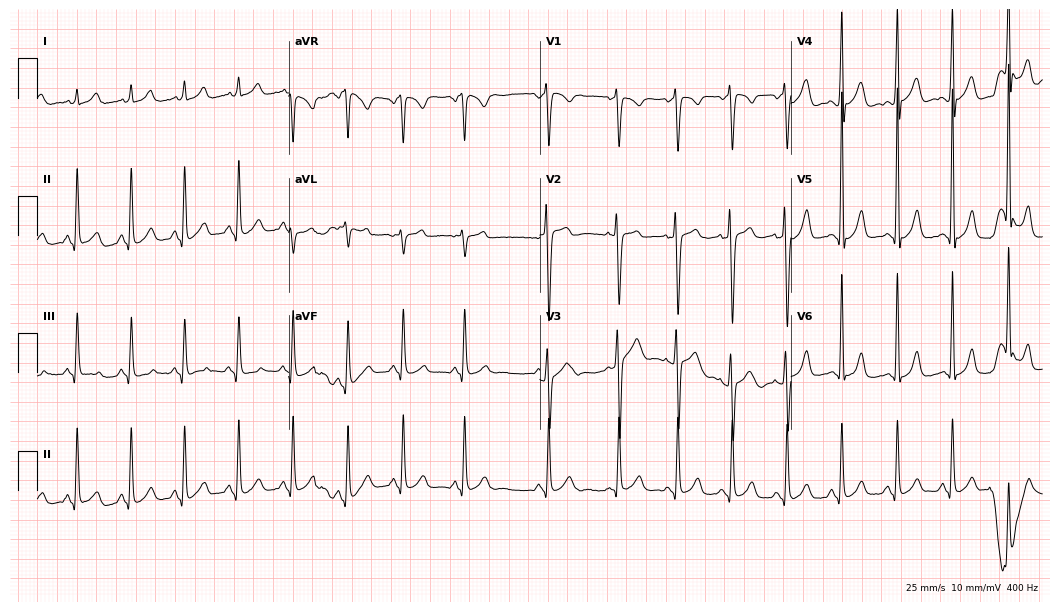
Resting 12-lead electrocardiogram (10.2-second recording at 400 Hz). Patient: a male, 18 years old. None of these six findings is recorded: first-degree AV block, right bundle branch block, left bundle branch block, sinus bradycardia, atrial fibrillation, sinus tachycardia.